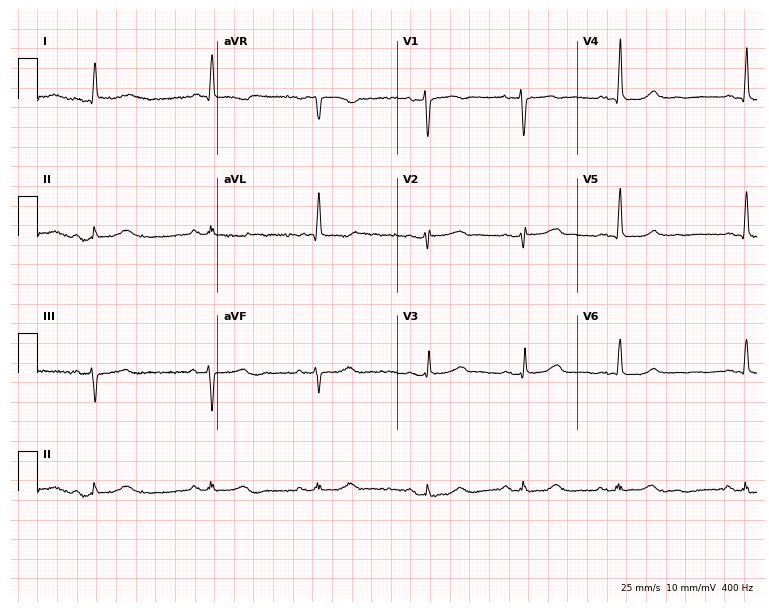
Standard 12-lead ECG recorded from a woman, 84 years old (7.3-second recording at 400 Hz). Read as a normal ECG.